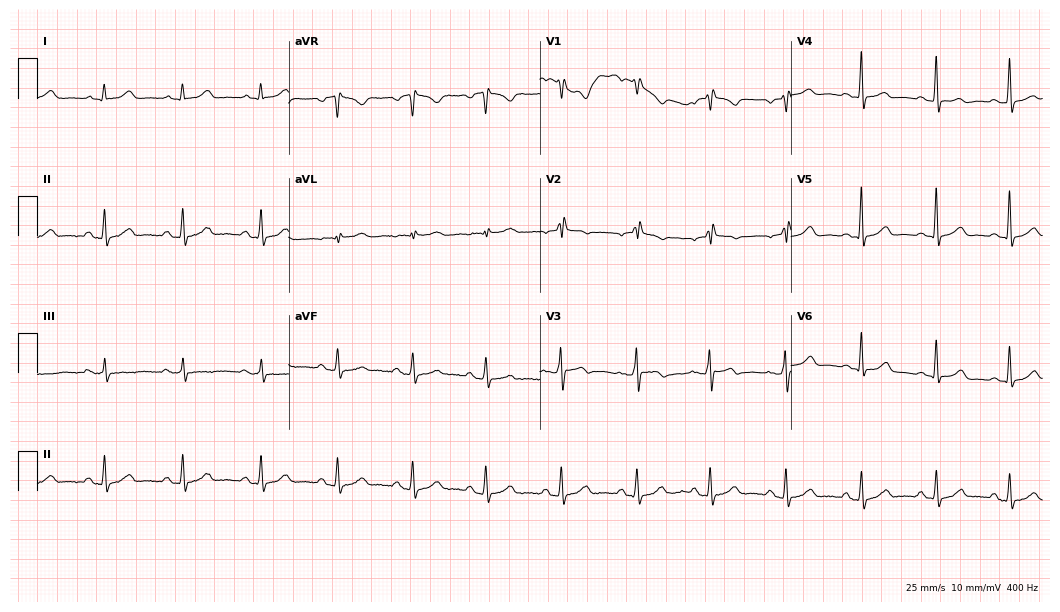
12-lead ECG from a female patient, 52 years old. No first-degree AV block, right bundle branch block, left bundle branch block, sinus bradycardia, atrial fibrillation or sinus tachycardia recorded for this tracing.